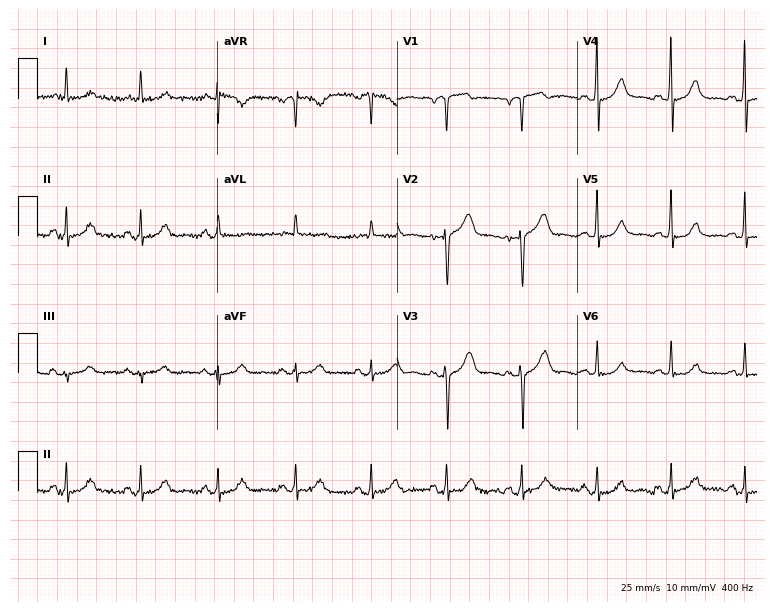
Resting 12-lead electrocardiogram. Patient: a 67-year-old man. None of these six findings is recorded: first-degree AV block, right bundle branch block, left bundle branch block, sinus bradycardia, atrial fibrillation, sinus tachycardia. Other findings, if any, are not listed.